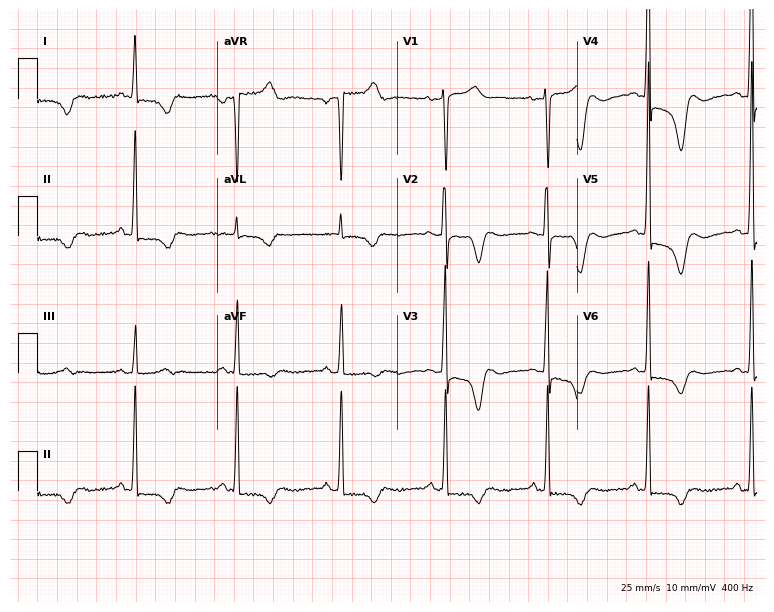
12-lead ECG (7.3-second recording at 400 Hz) from a 60-year-old female. Screened for six findings — first-degree AV block, right bundle branch block, left bundle branch block, sinus bradycardia, atrial fibrillation, sinus tachycardia — none is recorded. Only these six findings were labelled.